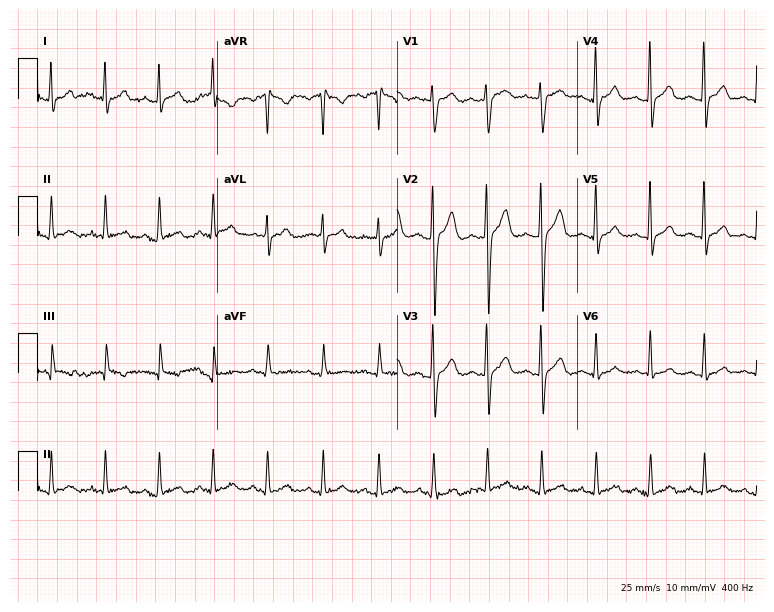
Resting 12-lead electrocardiogram. Patient: a man, 32 years old. The tracing shows sinus tachycardia (a sinus rate of 100 beats per minute or more).